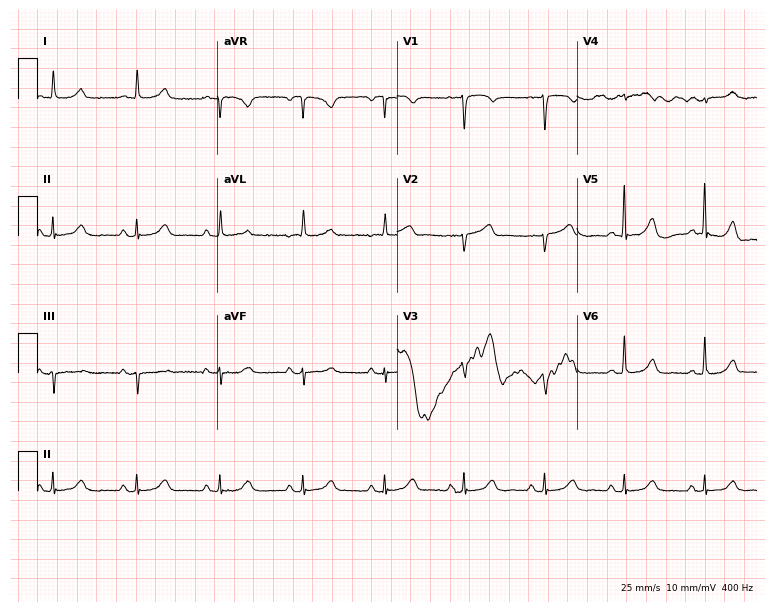
Standard 12-lead ECG recorded from a 76-year-old female (7.3-second recording at 400 Hz). None of these six findings is recorded: first-degree AV block, right bundle branch block (RBBB), left bundle branch block (LBBB), sinus bradycardia, atrial fibrillation (AF), sinus tachycardia.